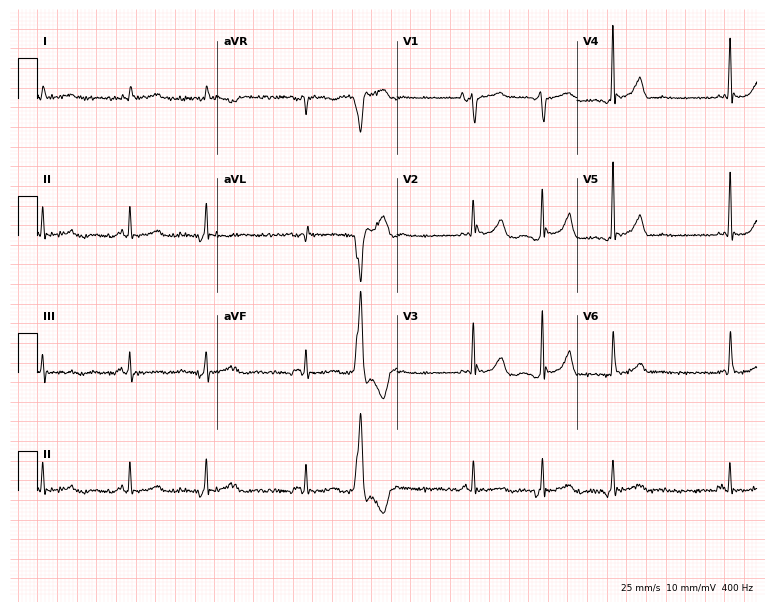
Standard 12-lead ECG recorded from a 71-year-old woman. None of these six findings is recorded: first-degree AV block, right bundle branch block (RBBB), left bundle branch block (LBBB), sinus bradycardia, atrial fibrillation (AF), sinus tachycardia. Other findings, if any, are not listed.